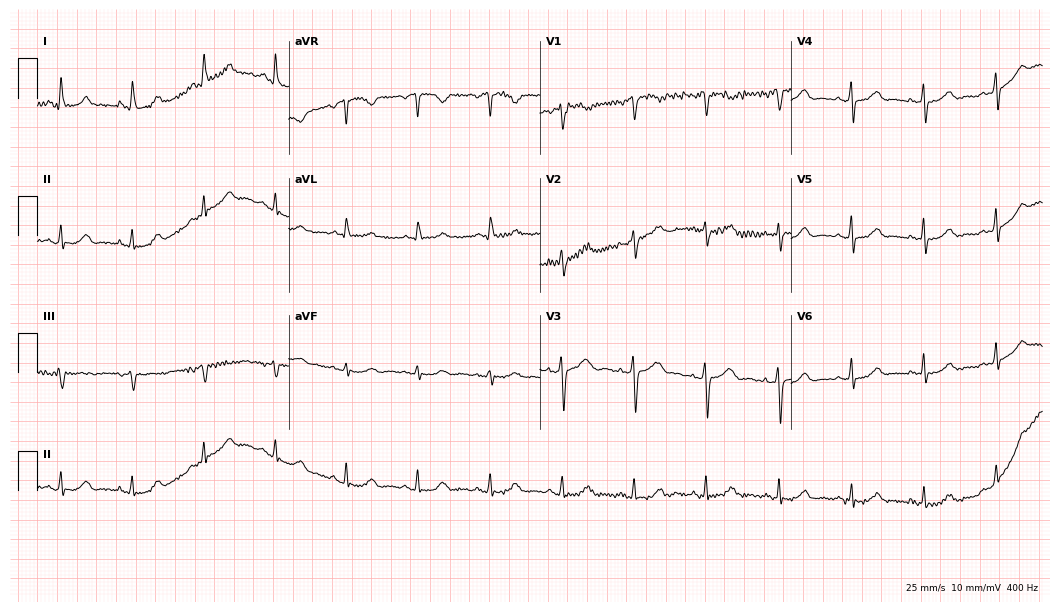
12-lead ECG from a 64-year-old female patient. Recorded interpretation: within normal limits.